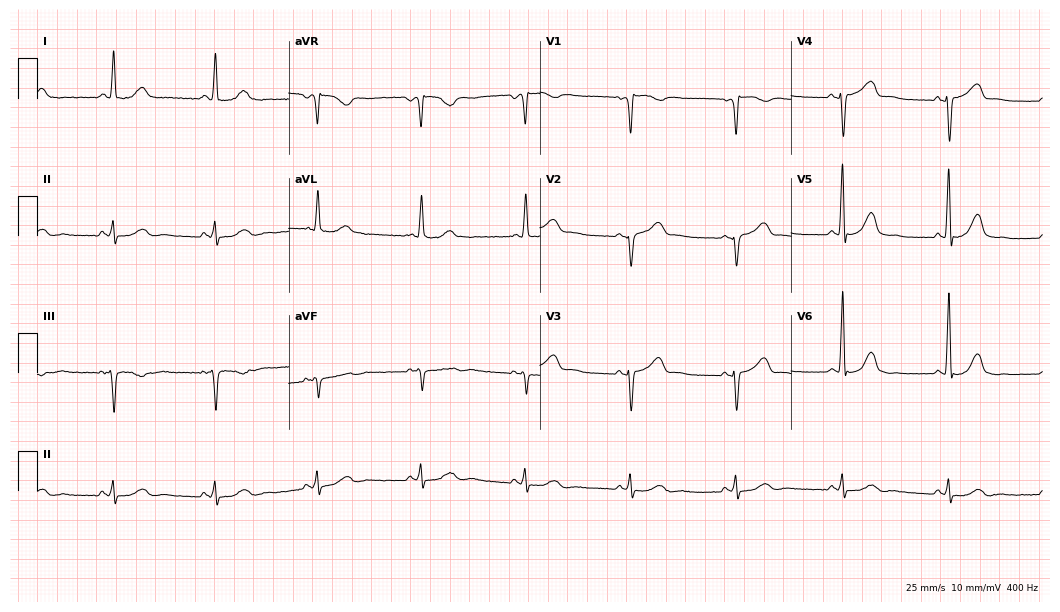
12-lead ECG (10.2-second recording at 400 Hz) from a man, 55 years old. Screened for six findings — first-degree AV block, right bundle branch block, left bundle branch block, sinus bradycardia, atrial fibrillation, sinus tachycardia — none is recorded. Only these six findings were labelled.